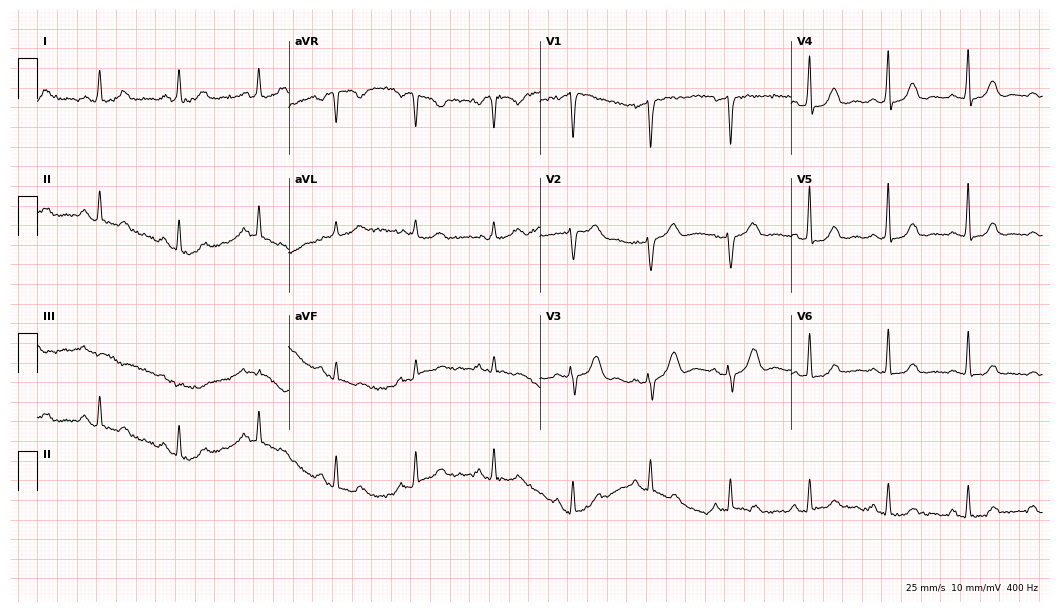
12-lead ECG from a female, 75 years old. No first-degree AV block, right bundle branch block, left bundle branch block, sinus bradycardia, atrial fibrillation or sinus tachycardia recorded for this tracing.